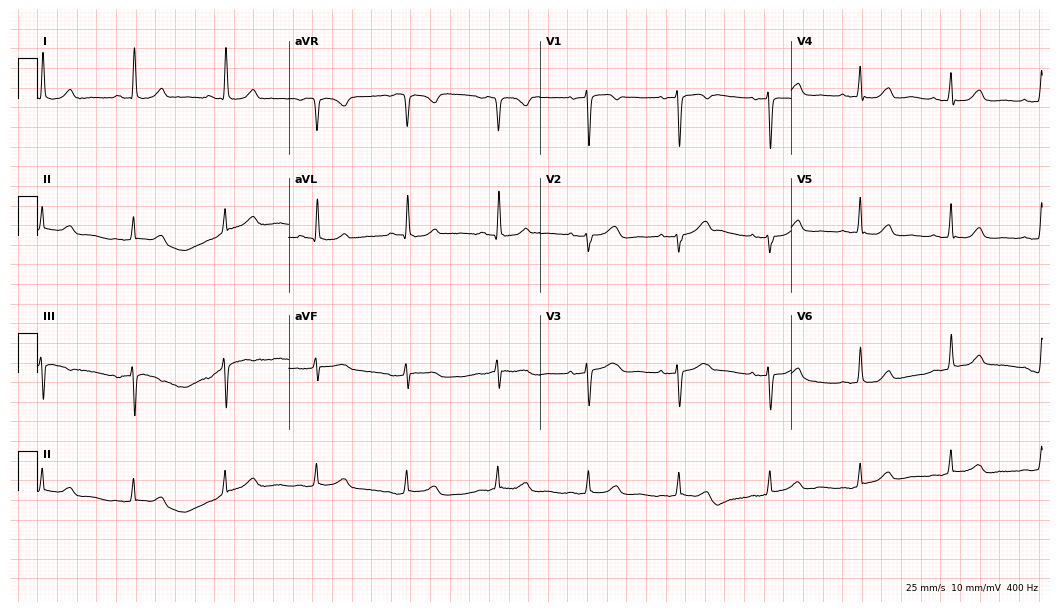
12-lead ECG from an 80-year-old female. Labelled as a normal ECG.